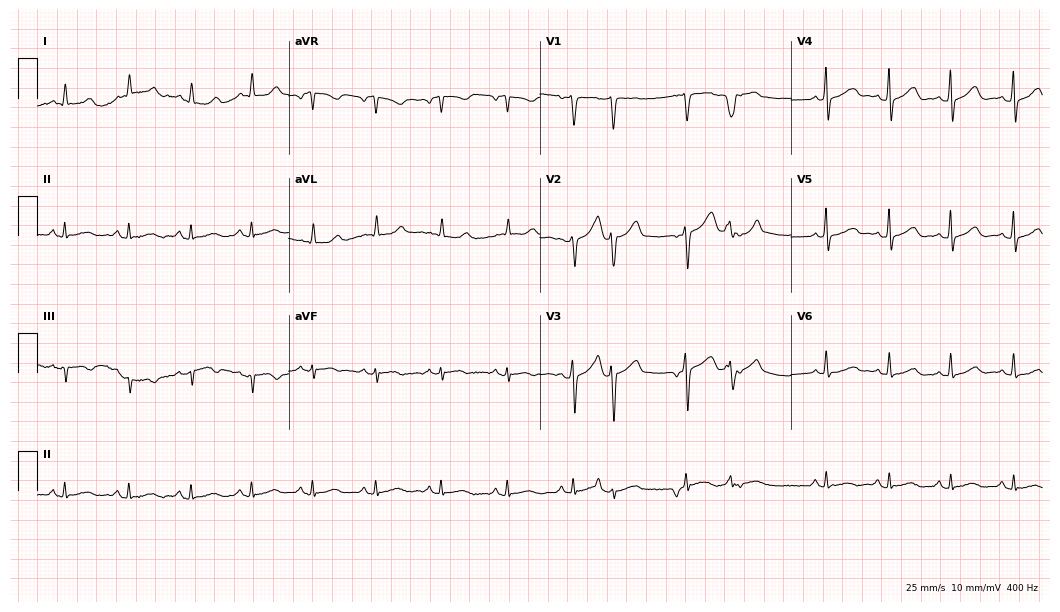
12-lead ECG from a female patient, 56 years old. Screened for six findings — first-degree AV block, right bundle branch block, left bundle branch block, sinus bradycardia, atrial fibrillation, sinus tachycardia — none is recorded.